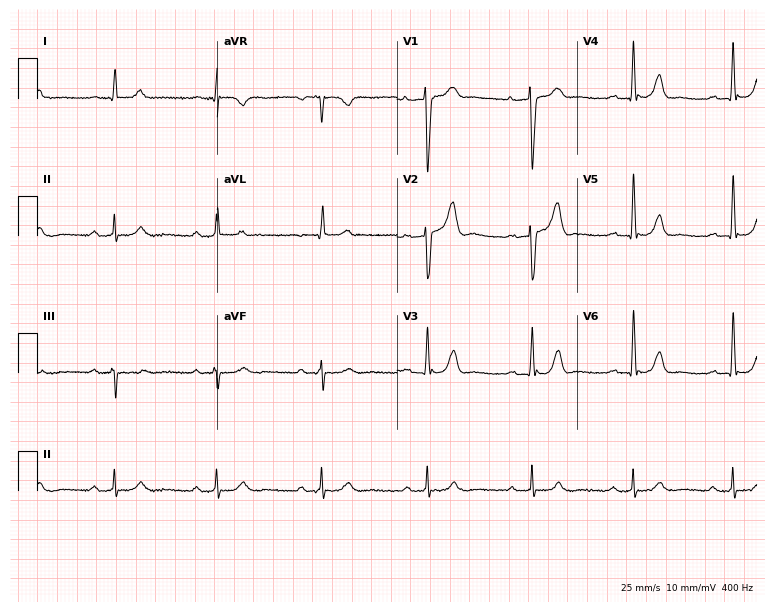
12-lead ECG (7.3-second recording at 400 Hz) from a man, 61 years old. Findings include first-degree AV block.